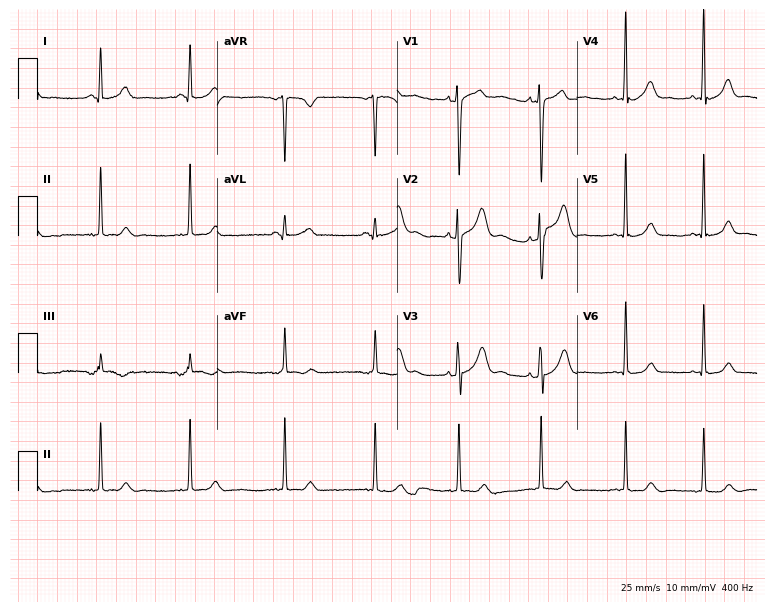
Standard 12-lead ECG recorded from a female, 19 years old. None of these six findings is recorded: first-degree AV block, right bundle branch block, left bundle branch block, sinus bradycardia, atrial fibrillation, sinus tachycardia.